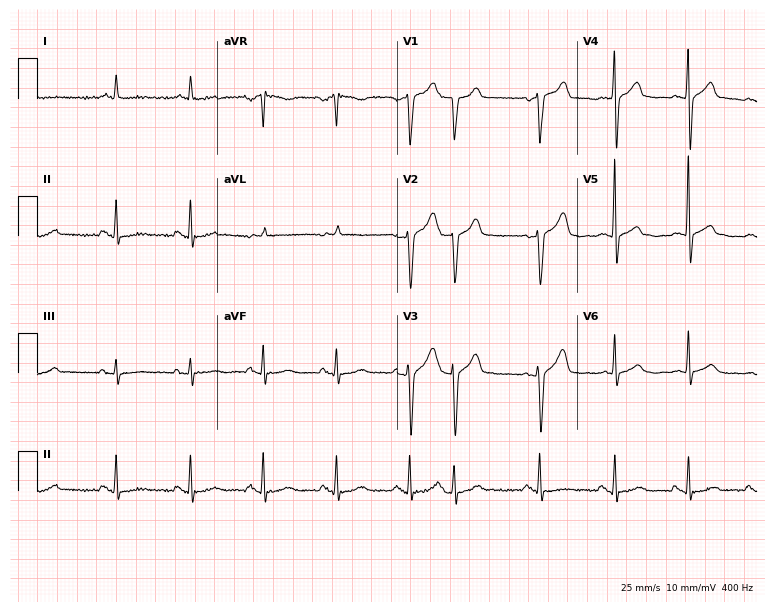
12-lead ECG (7.3-second recording at 400 Hz) from a man, 72 years old. Screened for six findings — first-degree AV block, right bundle branch block, left bundle branch block, sinus bradycardia, atrial fibrillation, sinus tachycardia — none is recorded.